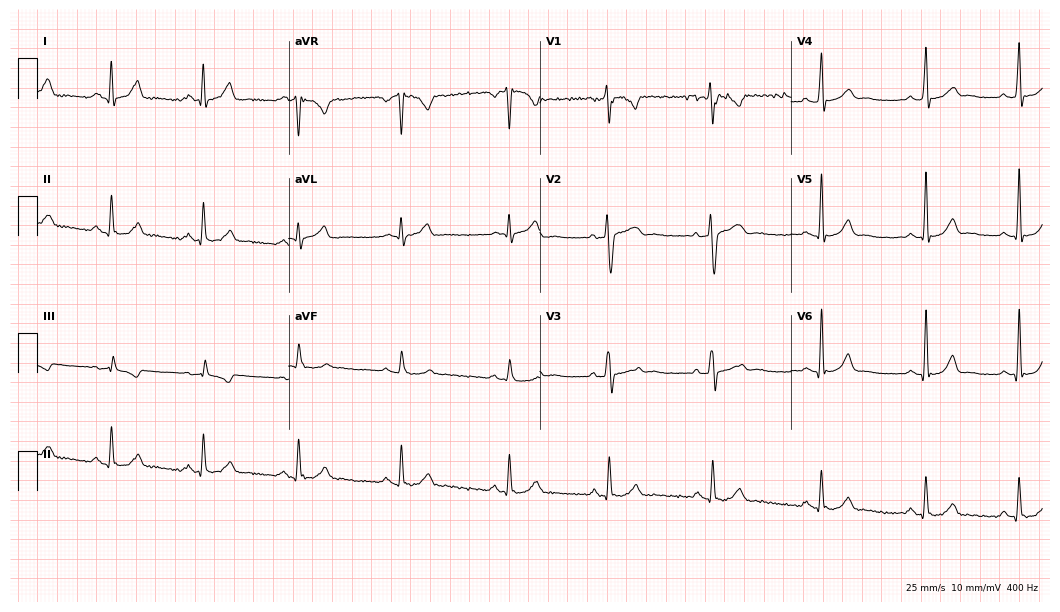
Standard 12-lead ECG recorded from a male patient, 30 years old (10.2-second recording at 400 Hz). None of these six findings is recorded: first-degree AV block, right bundle branch block (RBBB), left bundle branch block (LBBB), sinus bradycardia, atrial fibrillation (AF), sinus tachycardia.